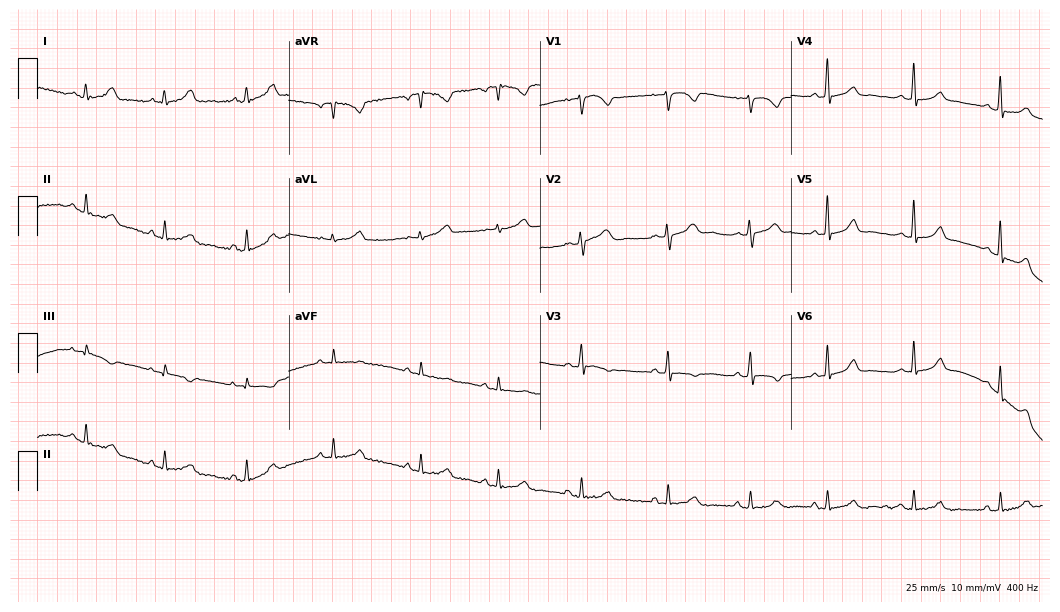
12-lead ECG (10.2-second recording at 400 Hz) from a 25-year-old woman. Labelled as a normal ECG.